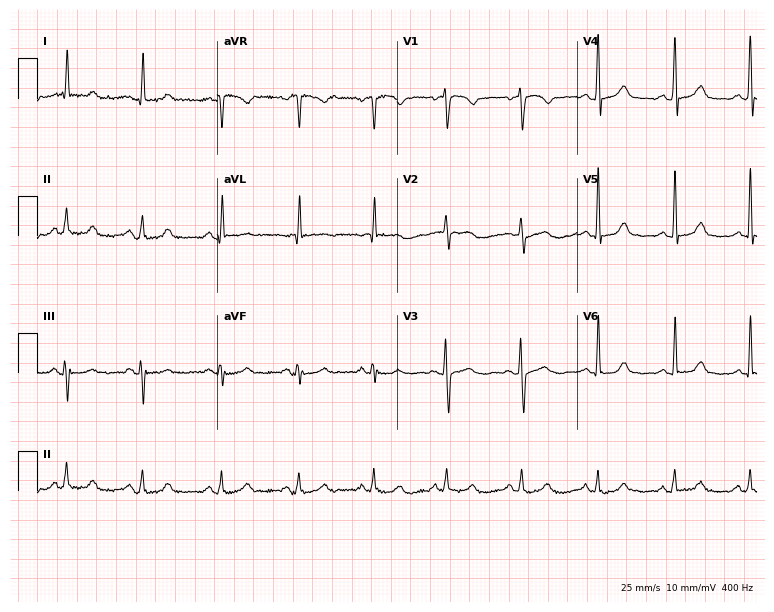
ECG (7.3-second recording at 400 Hz) — a female, 56 years old. Labelled as a normal ECG.